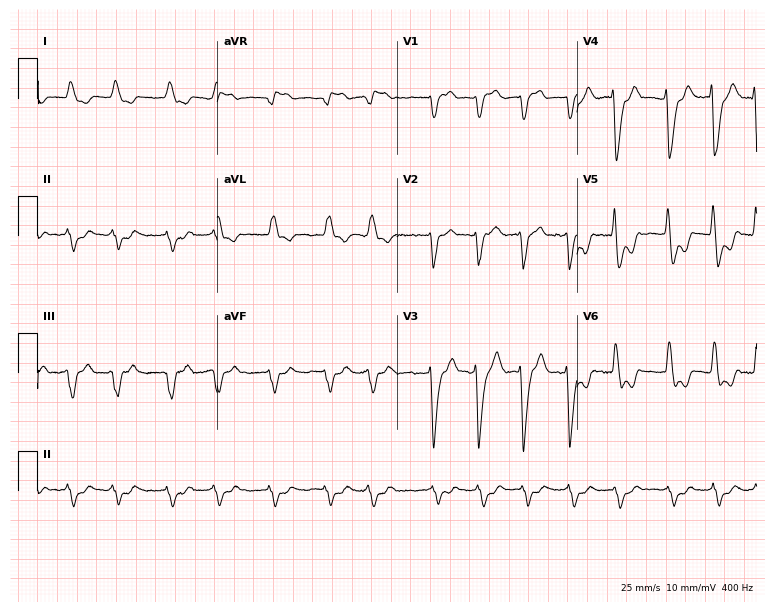
Electrocardiogram, a male, 77 years old. Interpretation includes left bundle branch block, atrial fibrillation.